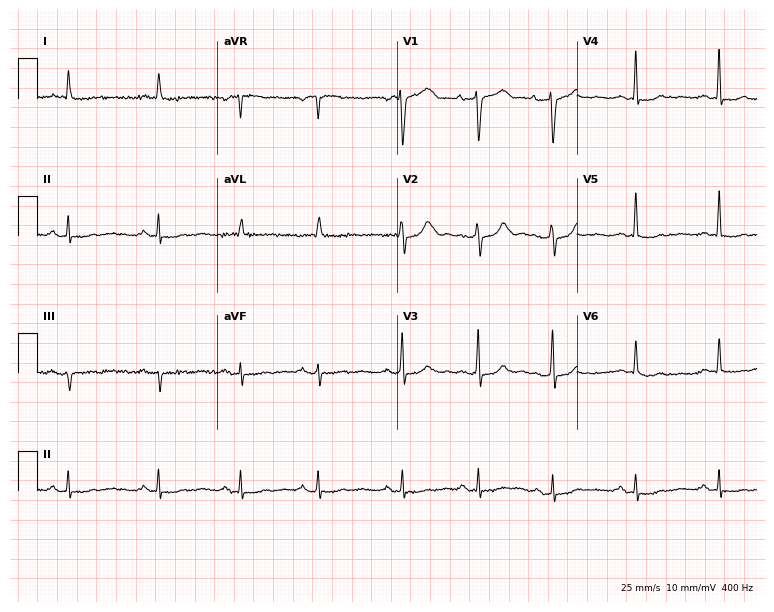
Standard 12-lead ECG recorded from a female patient, 82 years old. None of these six findings is recorded: first-degree AV block, right bundle branch block (RBBB), left bundle branch block (LBBB), sinus bradycardia, atrial fibrillation (AF), sinus tachycardia.